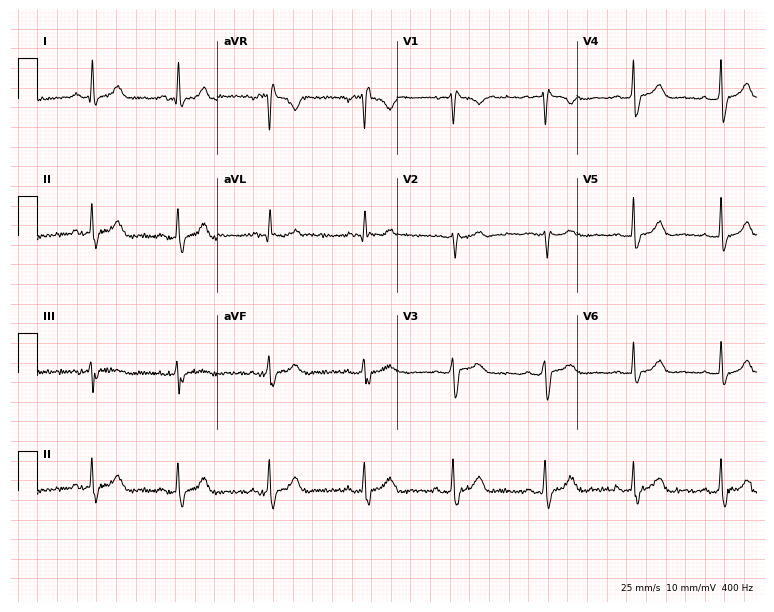
Electrocardiogram, a 41-year-old female. Of the six screened findings (first-degree AV block, right bundle branch block, left bundle branch block, sinus bradycardia, atrial fibrillation, sinus tachycardia), none is recorded. Findings outside these six are not listed.